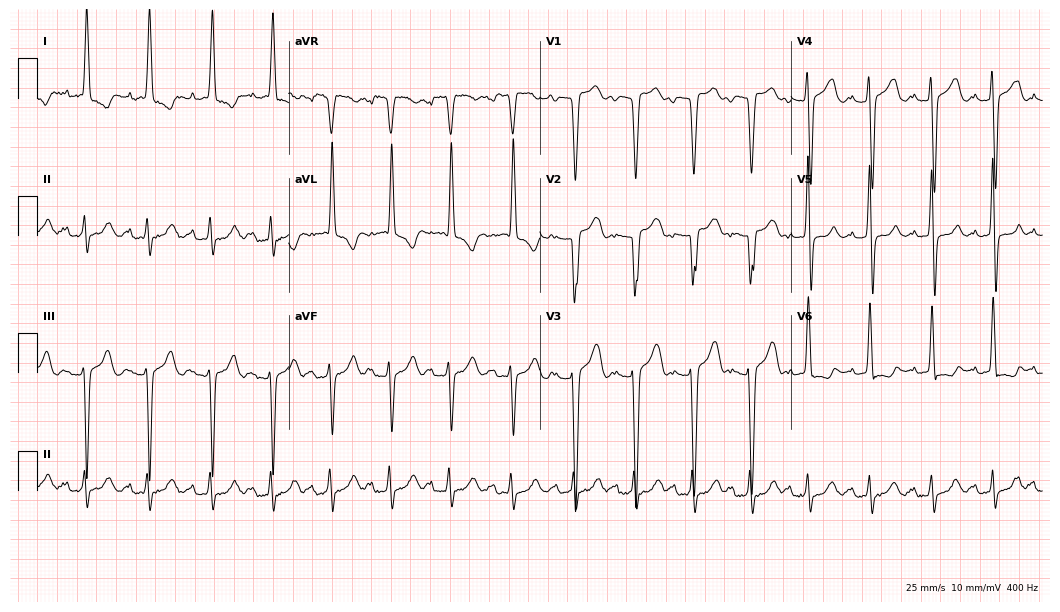
ECG (10.2-second recording at 400 Hz) — a female patient, 58 years old. Findings include first-degree AV block.